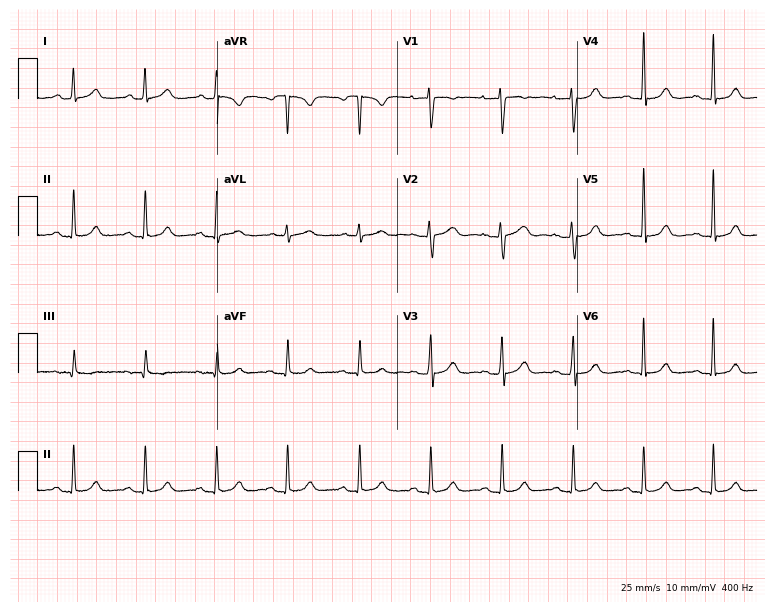
Electrocardiogram, a woman, 45 years old. Overall reading on record: normal ECG.